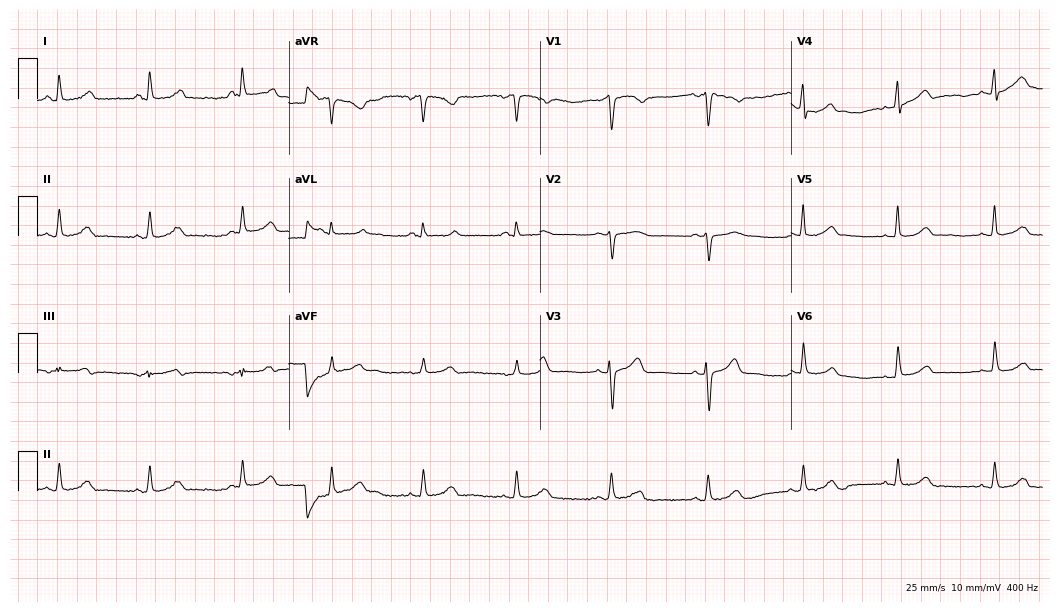
12-lead ECG (10.2-second recording at 400 Hz) from a 62-year-old female patient. Labelled as a normal ECG.